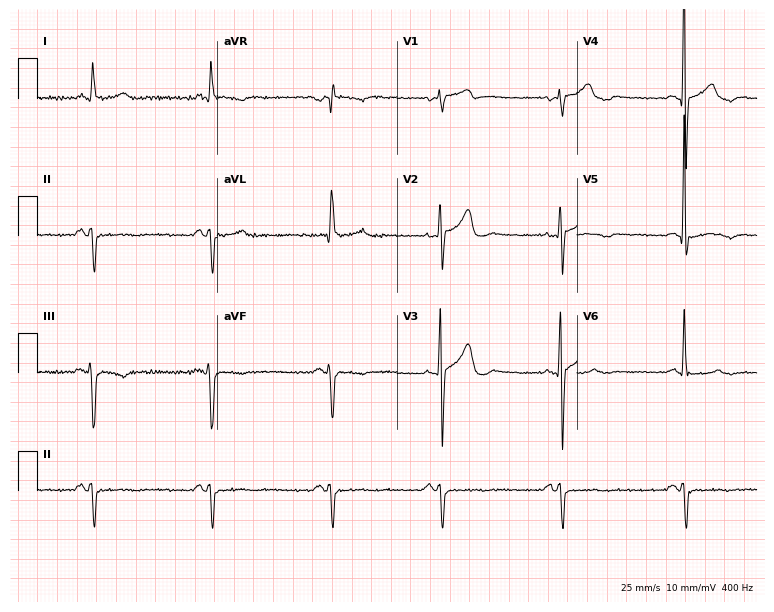
Electrocardiogram (7.3-second recording at 400 Hz), a male patient, 67 years old. Of the six screened findings (first-degree AV block, right bundle branch block (RBBB), left bundle branch block (LBBB), sinus bradycardia, atrial fibrillation (AF), sinus tachycardia), none is recorded. Findings outside these six are not listed.